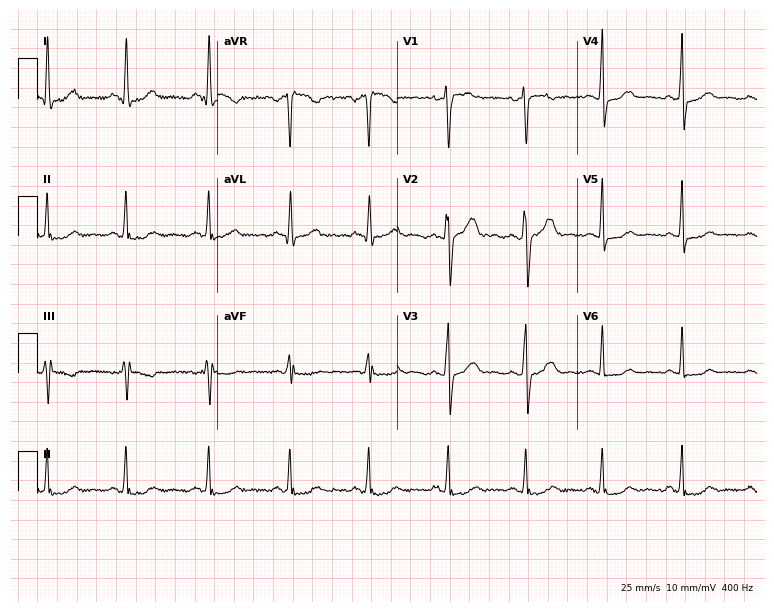
ECG (7.3-second recording at 400 Hz) — a 32-year-old female patient. Screened for six findings — first-degree AV block, right bundle branch block, left bundle branch block, sinus bradycardia, atrial fibrillation, sinus tachycardia — none is recorded.